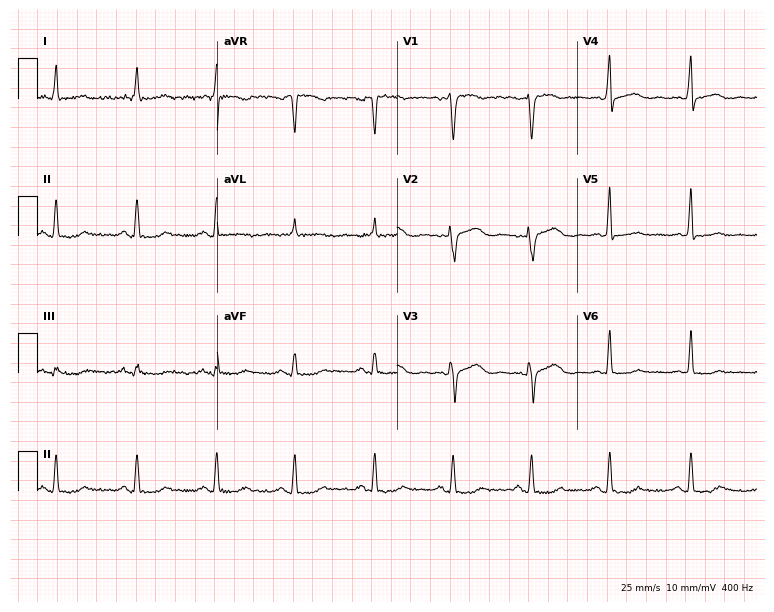
ECG — a 51-year-old female patient. Screened for six findings — first-degree AV block, right bundle branch block, left bundle branch block, sinus bradycardia, atrial fibrillation, sinus tachycardia — none is recorded. Findings outside these six are not listed.